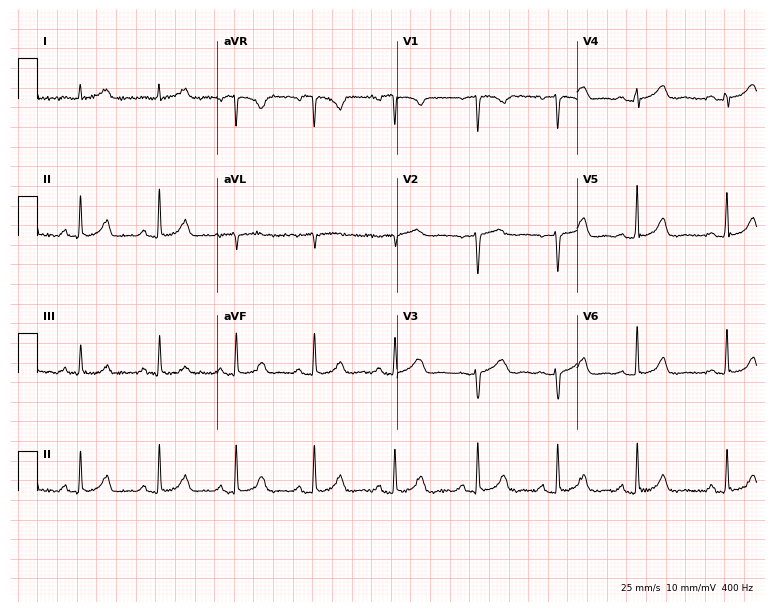
ECG — a female patient, 39 years old. Labelled as a normal ECG.